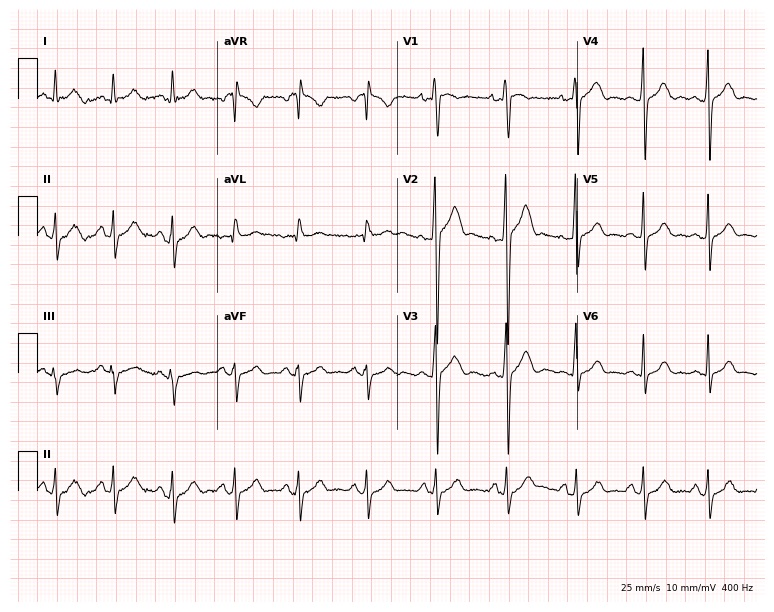
ECG (7.3-second recording at 400 Hz) — a 27-year-old male patient. Labelled as a normal ECG.